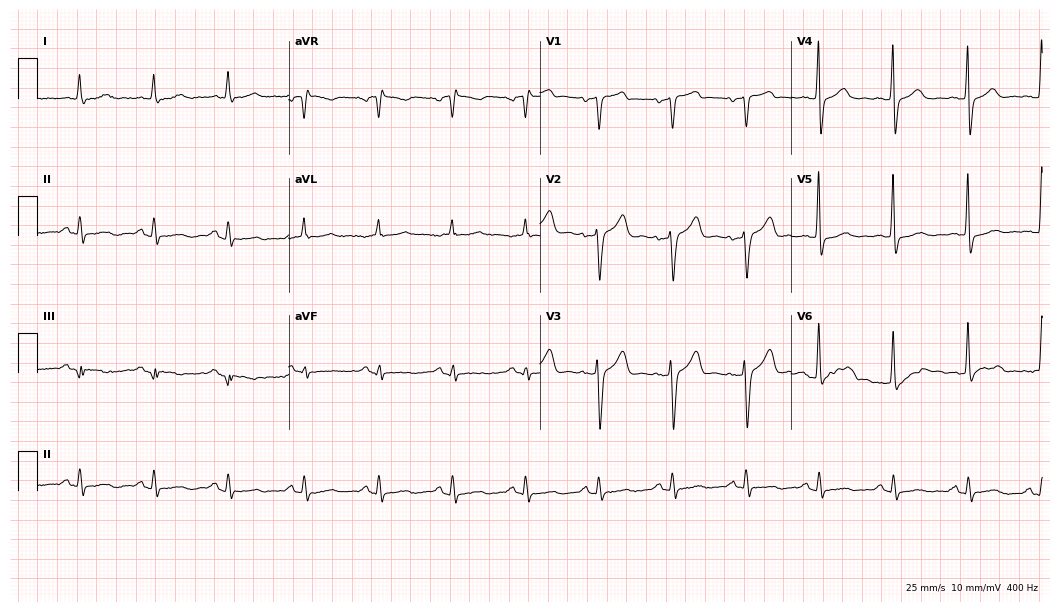
ECG — a male patient, 69 years old. Screened for six findings — first-degree AV block, right bundle branch block (RBBB), left bundle branch block (LBBB), sinus bradycardia, atrial fibrillation (AF), sinus tachycardia — none is recorded.